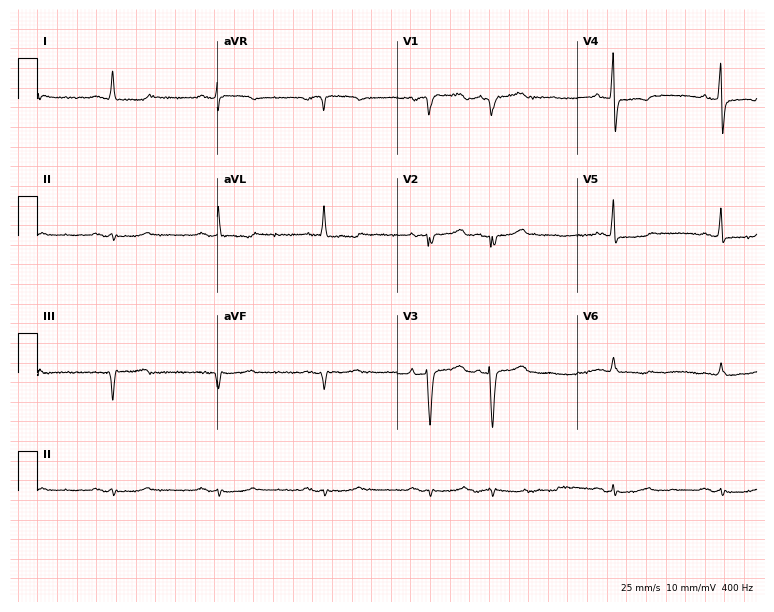
ECG — a 69-year-old female patient. Screened for six findings — first-degree AV block, right bundle branch block (RBBB), left bundle branch block (LBBB), sinus bradycardia, atrial fibrillation (AF), sinus tachycardia — none is recorded. Other findings, if any, are not listed.